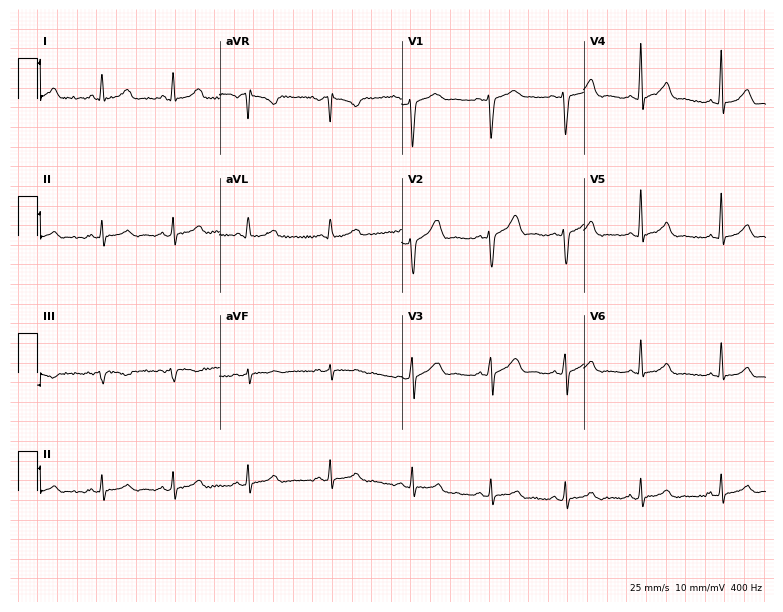
Standard 12-lead ECG recorded from a 30-year-old female patient. Read as a normal ECG.